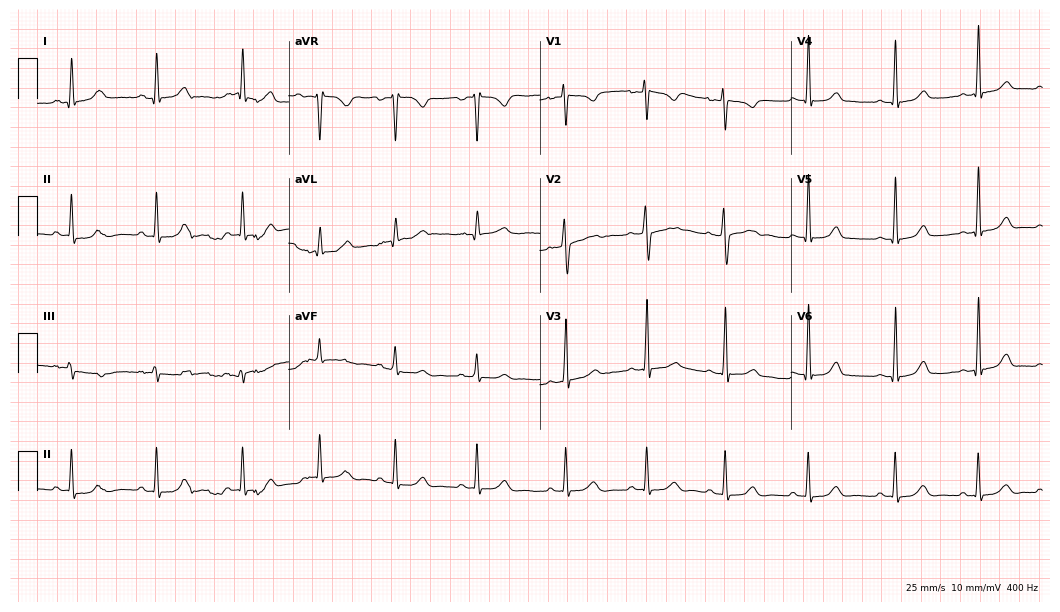
Resting 12-lead electrocardiogram (10.2-second recording at 400 Hz). Patient: a 21-year-old female. None of these six findings is recorded: first-degree AV block, right bundle branch block (RBBB), left bundle branch block (LBBB), sinus bradycardia, atrial fibrillation (AF), sinus tachycardia. Only these six findings were labelled.